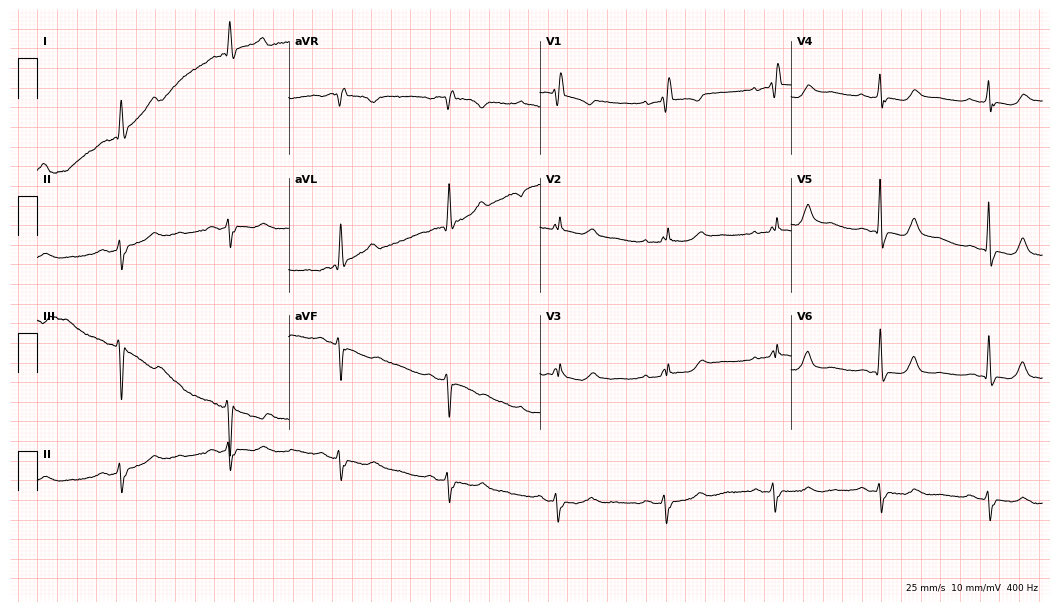
Standard 12-lead ECG recorded from a female patient, 71 years old. The tracing shows right bundle branch block.